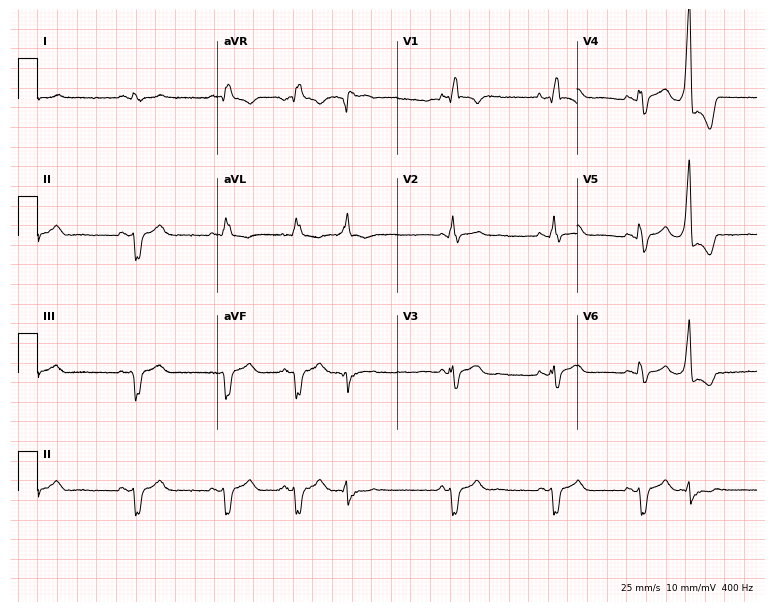
Standard 12-lead ECG recorded from a 70-year-old male. The tracing shows right bundle branch block (RBBB).